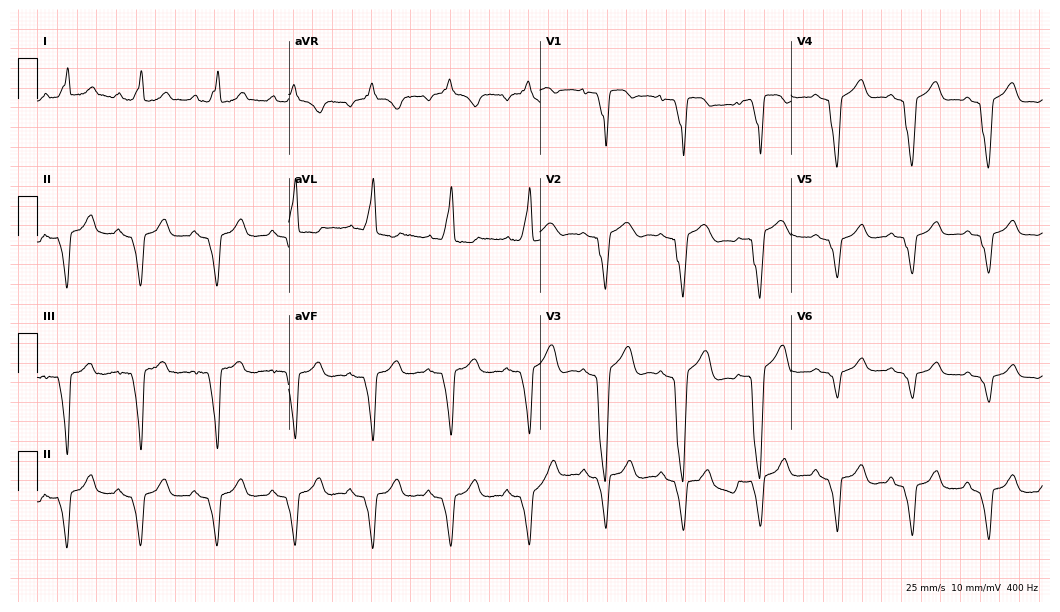
12-lead ECG from a 79-year-old woman (10.2-second recording at 400 Hz). Shows left bundle branch block.